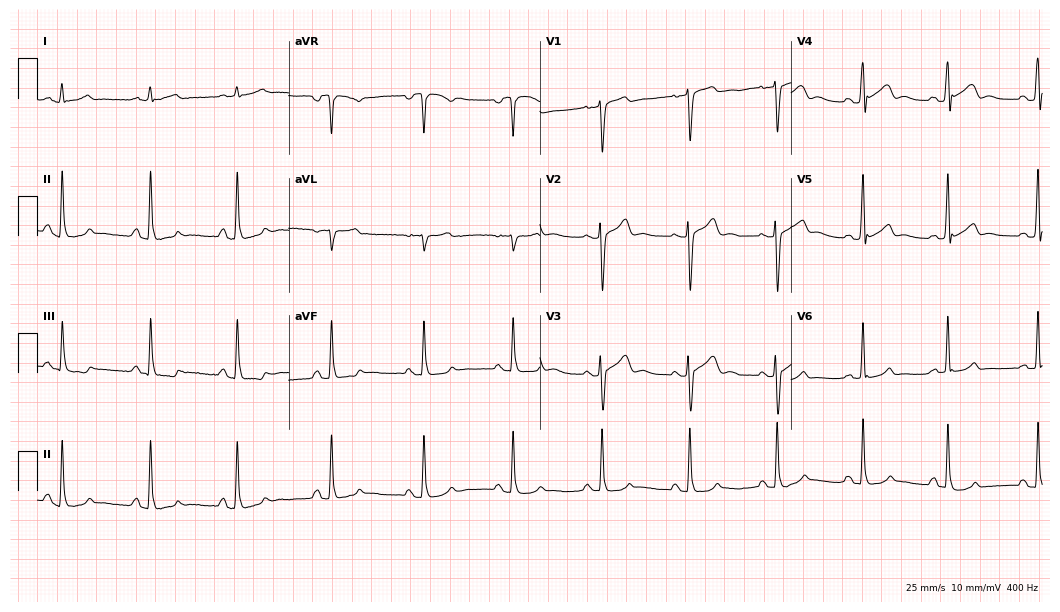
12-lead ECG (10.2-second recording at 400 Hz) from a male, 61 years old. Labelled as a normal ECG.